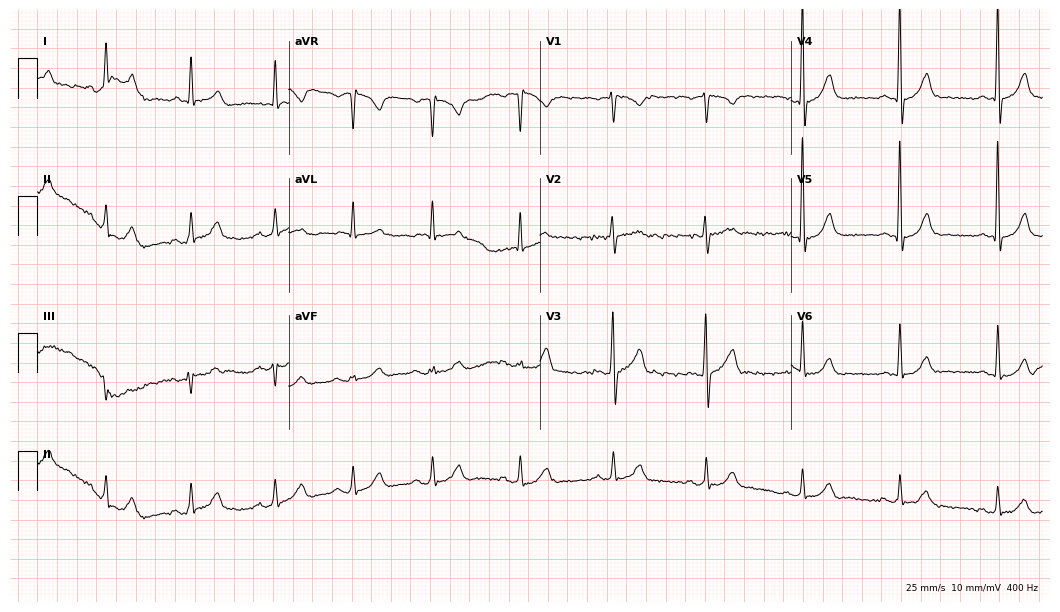
Electrocardiogram, a male, 67 years old. Of the six screened findings (first-degree AV block, right bundle branch block, left bundle branch block, sinus bradycardia, atrial fibrillation, sinus tachycardia), none is recorded. Other findings, if any, are not listed.